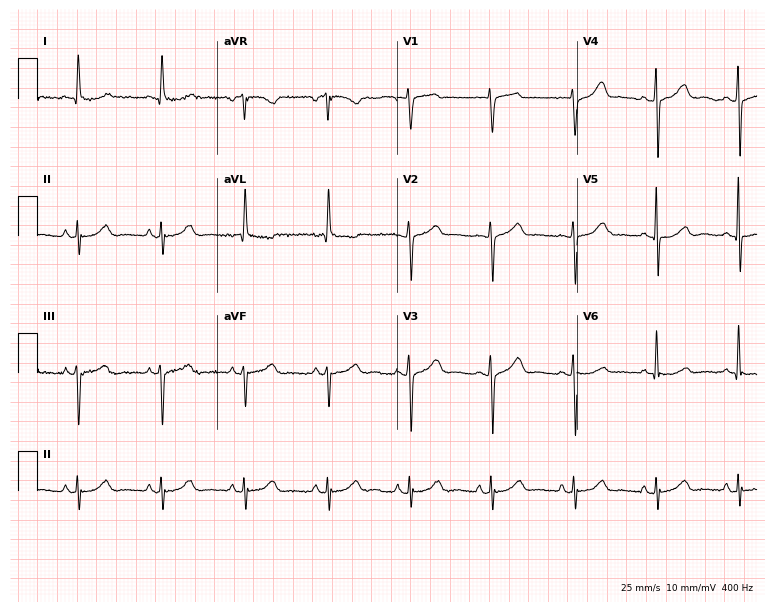
Standard 12-lead ECG recorded from a woman, 75 years old (7.3-second recording at 400 Hz). None of these six findings is recorded: first-degree AV block, right bundle branch block (RBBB), left bundle branch block (LBBB), sinus bradycardia, atrial fibrillation (AF), sinus tachycardia. Findings outside these six are not listed.